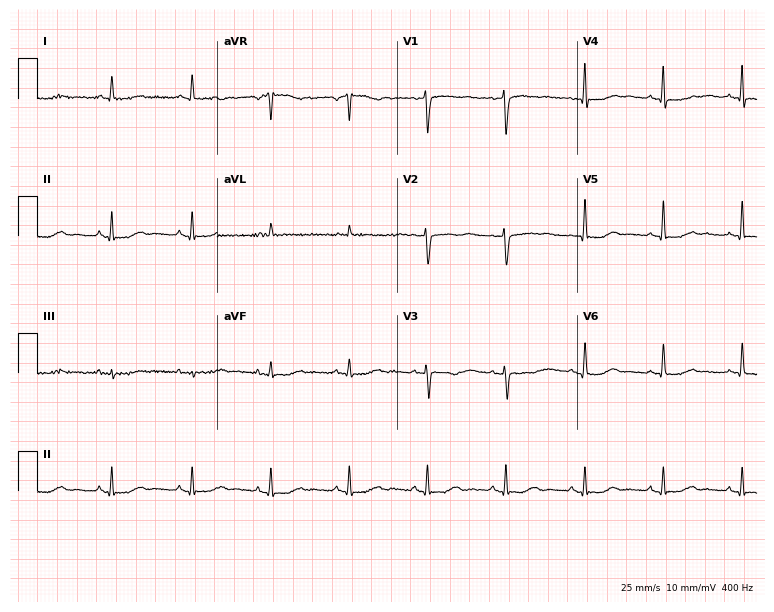
Electrocardiogram (7.3-second recording at 400 Hz), a female patient, 82 years old. Of the six screened findings (first-degree AV block, right bundle branch block, left bundle branch block, sinus bradycardia, atrial fibrillation, sinus tachycardia), none is recorded. Other findings, if any, are not listed.